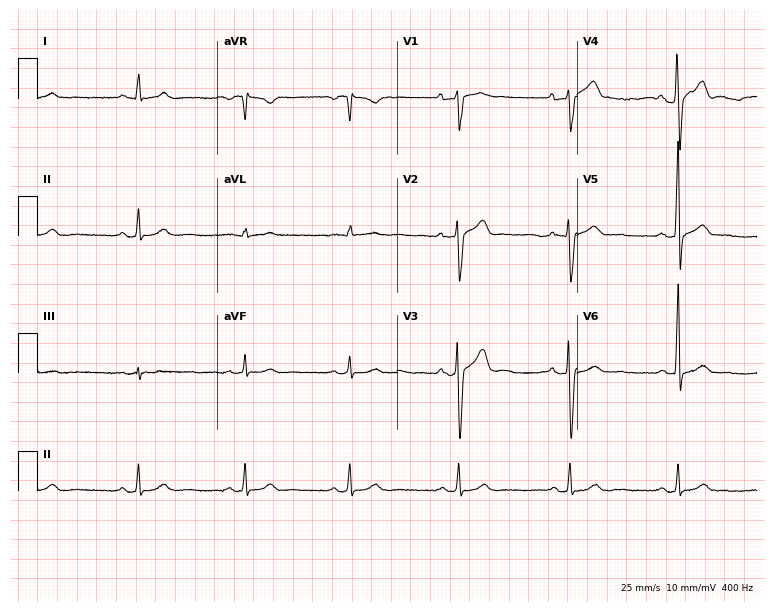
ECG — a male, 46 years old. Labelled as a normal ECG.